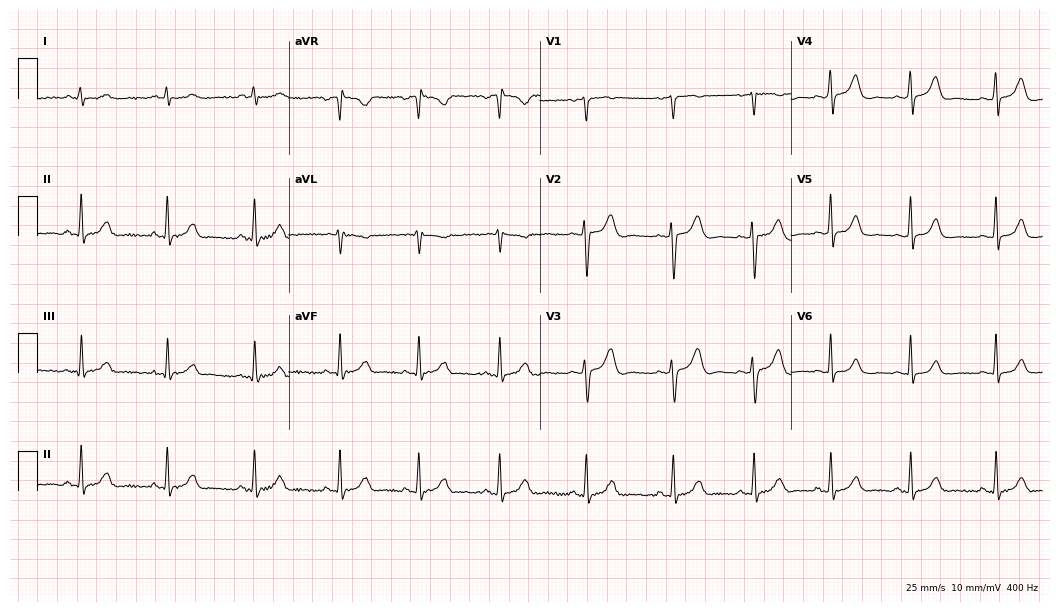
12-lead ECG (10.2-second recording at 400 Hz) from a 37-year-old woman. Labelled as a normal ECG.